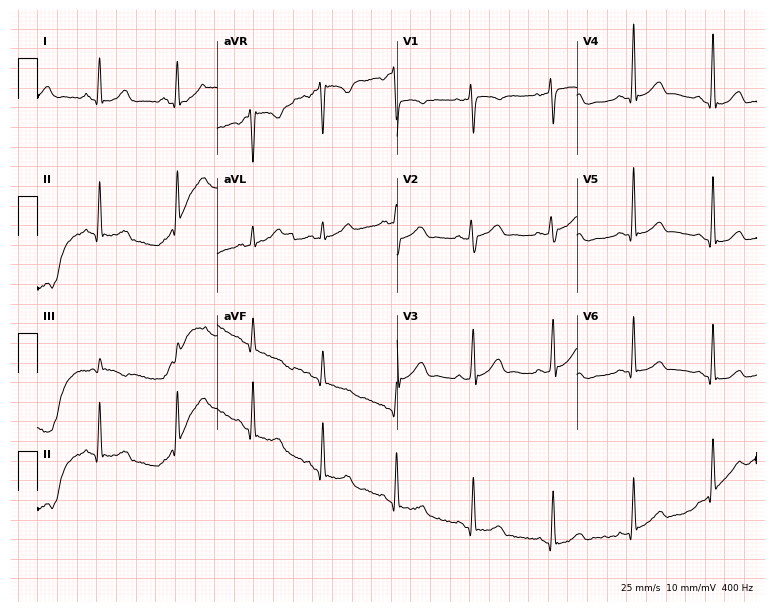
Resting 12-lead electrocardiogram. Patient: a 28-year-old woman. None of these six findings is recorded: first-degree AV block, right bundle branch block, left bundle branch block, sinus bradycardia, atrial fibrillation, sinus tachycardia. Only these six findings were labelled.